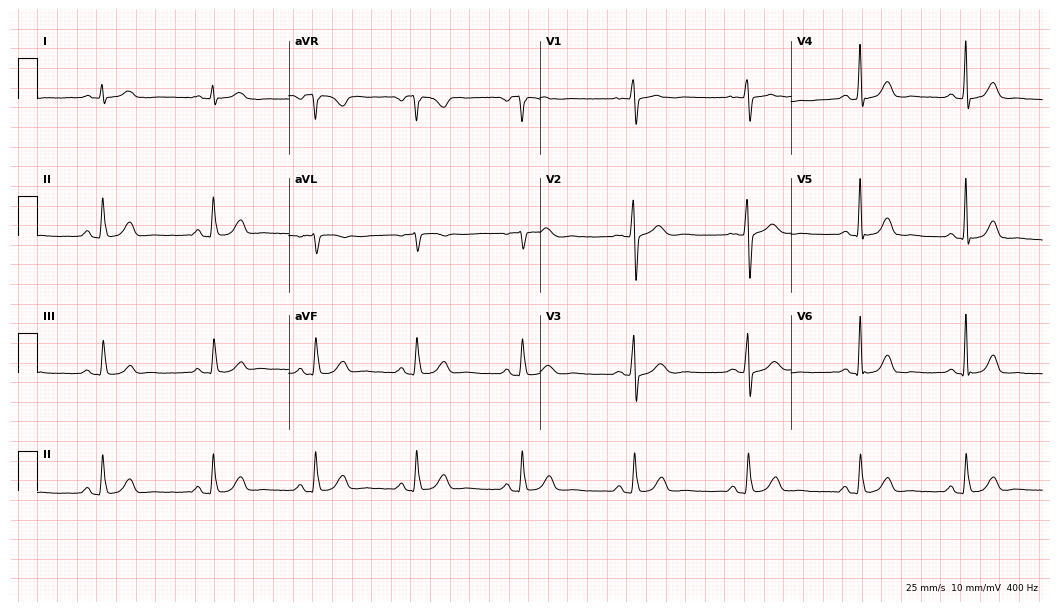
Resting 12-lead electrocardiogram (10.2-second recording at 400 Hz). Patient: a 54-year-old female. None of these six findings is recorded: first-degree AV block, right bundle branch block (RBBB), left bundle branch block (LBBB), sinus bradycardia, atrial fibrillation (AF), sinus tachycardia.